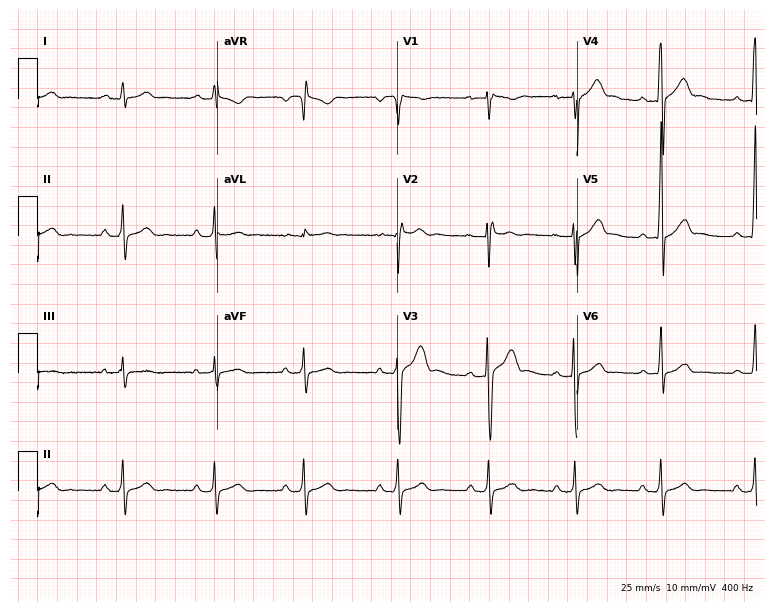
Resting 12-lead electrocardiogram (7.3-second recording at 400 Hz). Patient: a 21-year-old man. None of these six findings is recorded: first-degree AV block, right bundle branch block, left bundle branch block, sinus bradycardia, atrial fibrillation, sinus tachycardia. Other findings, if any, are not listed.